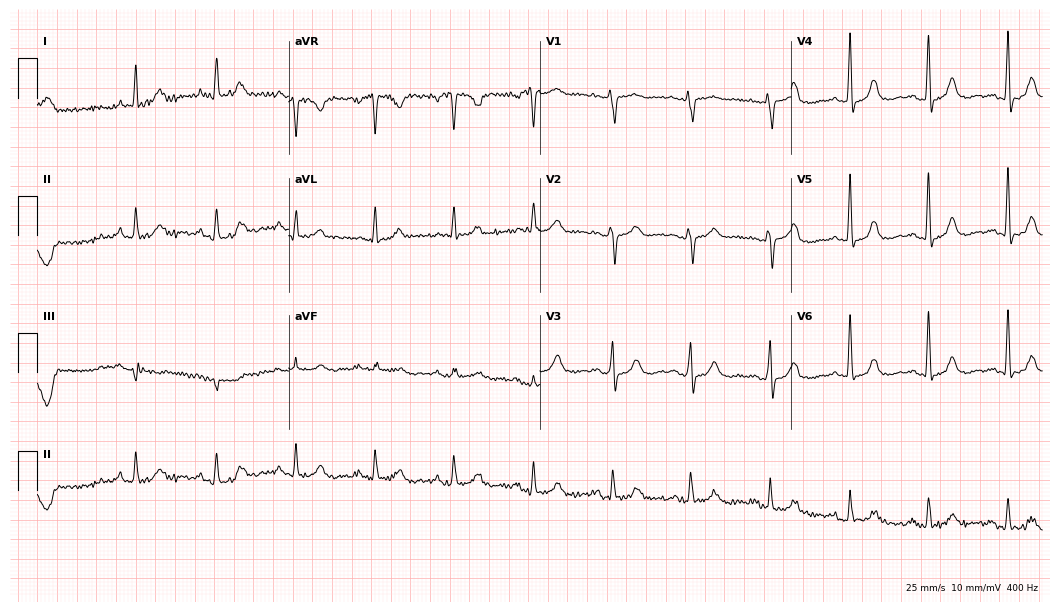
Electrocardiogram (10.2-second recording at 400 Hz), a 78-year-old female. Overall reading on record: normal ECG.